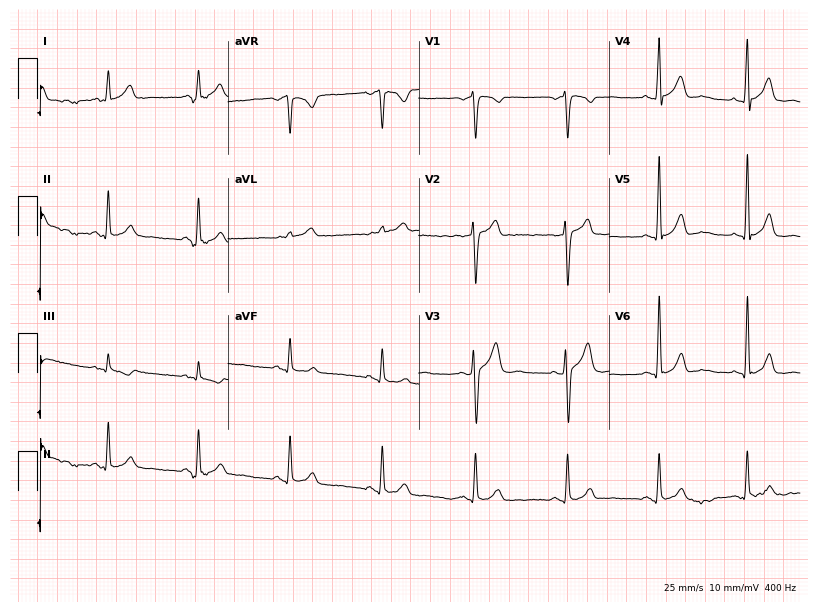
Resting 12-lead electrocardiogram. Patient: a 37-year-old male. None of these six findings is recorded: first-degree AV block, right bundle branch block (RBBB), left bundle branch block (LBBB), sinus bradycardia, atrial fibrillation (AF), sinus tachycardia.